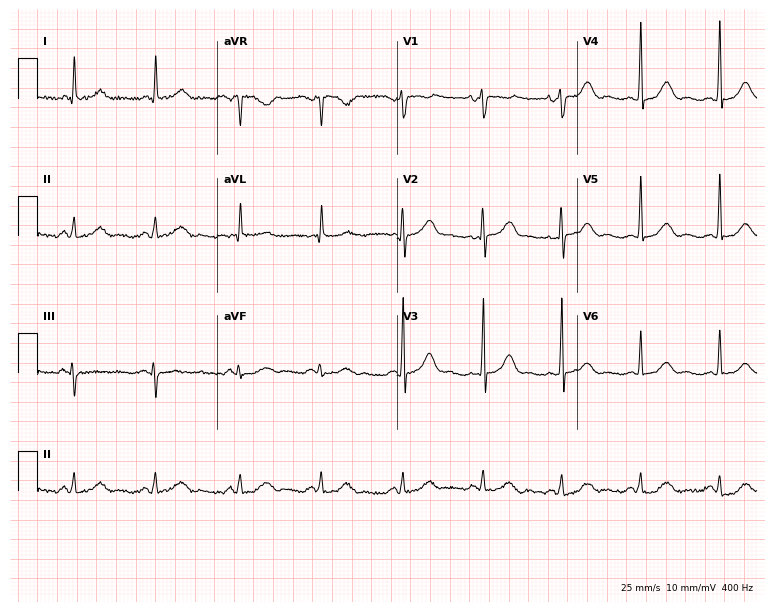
Electrocardiogram, a 65-year-old male. Overall reading on record: normal ECG.